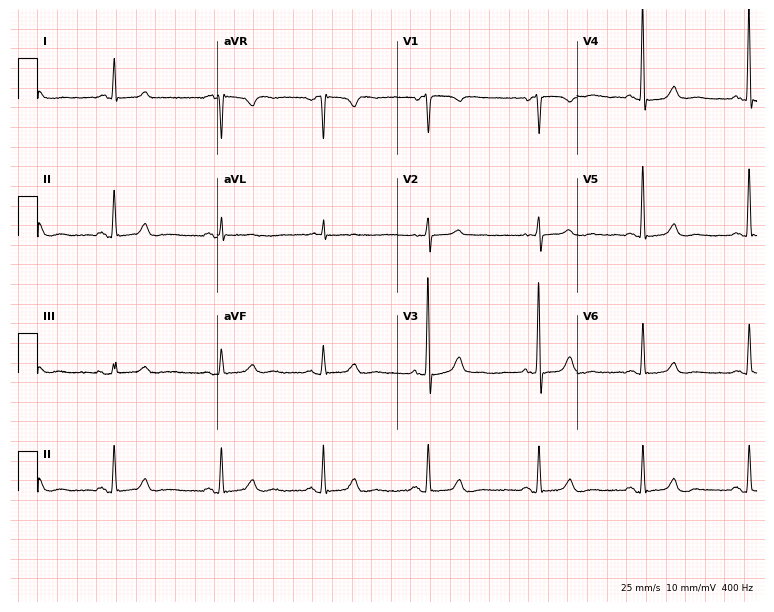
ECG — a 65-year-old man. Labelled as a normal ECG.